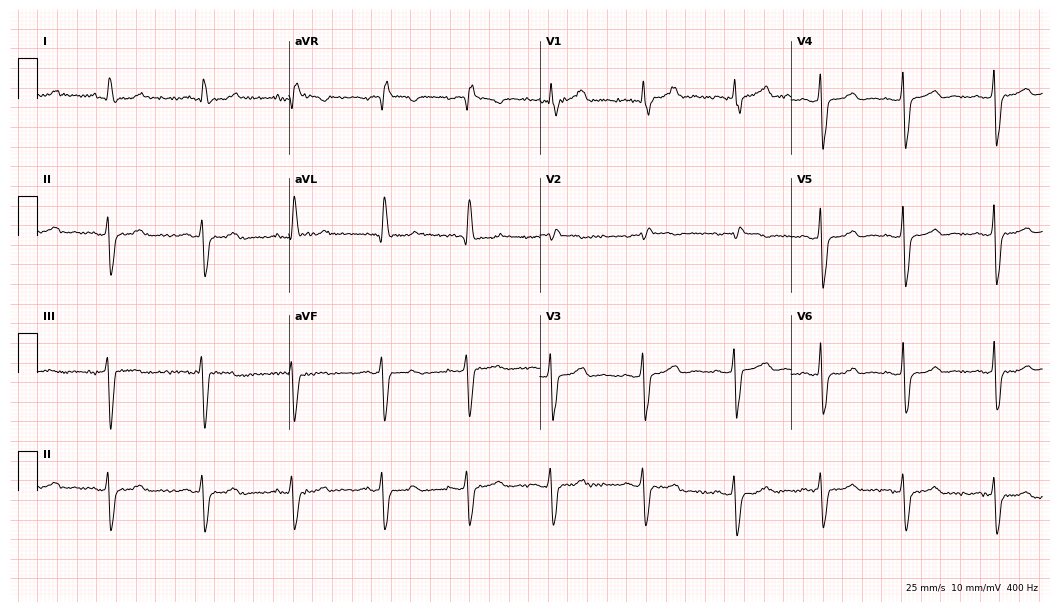
ECG (10.2-second recording at 400 Hz) — a 69-year-old female patient. Findings include right bundle branch block.